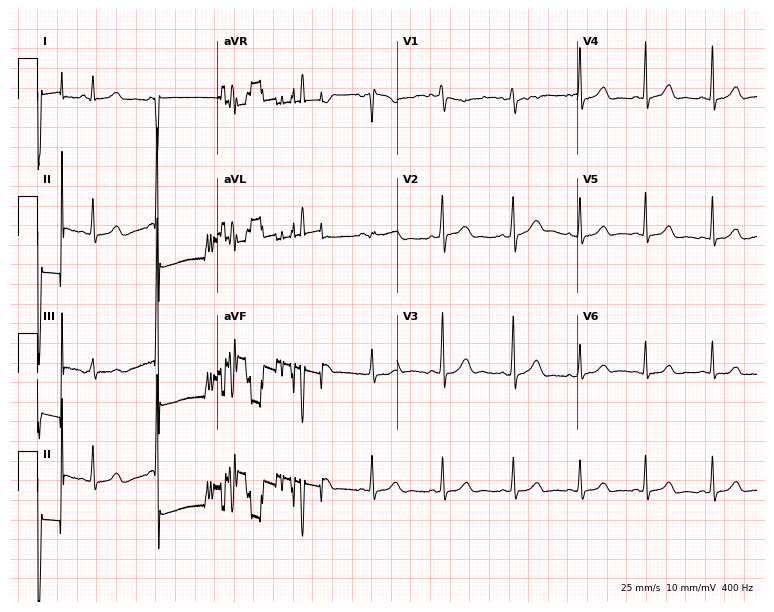
12-lead ECG from a woman, 43 years old (7.3-second recording at 400 Hz). No first-degree AV block, right bundle branch block, left bundle branch block, sinus bradycardia, atrial fibrillation or sinus tachycardia recorded for this tracing.